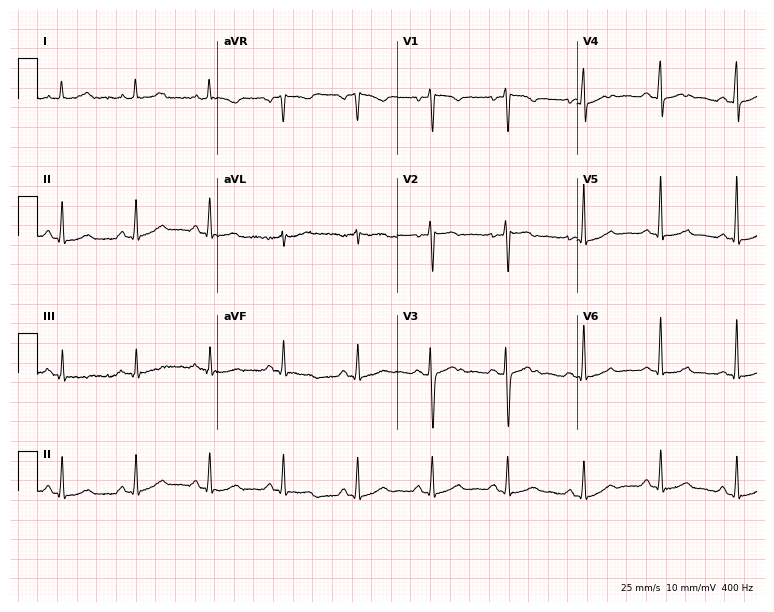
Standard 12-lead ECG recorded from a woman, 44 years old. None of these six findings is recorded: first-degree AV block, right bundle branch block (RBBB), left bundle branch block (LBBB), sinus bradycardia, atrial fibrillation (AF), sinus tachycardia.